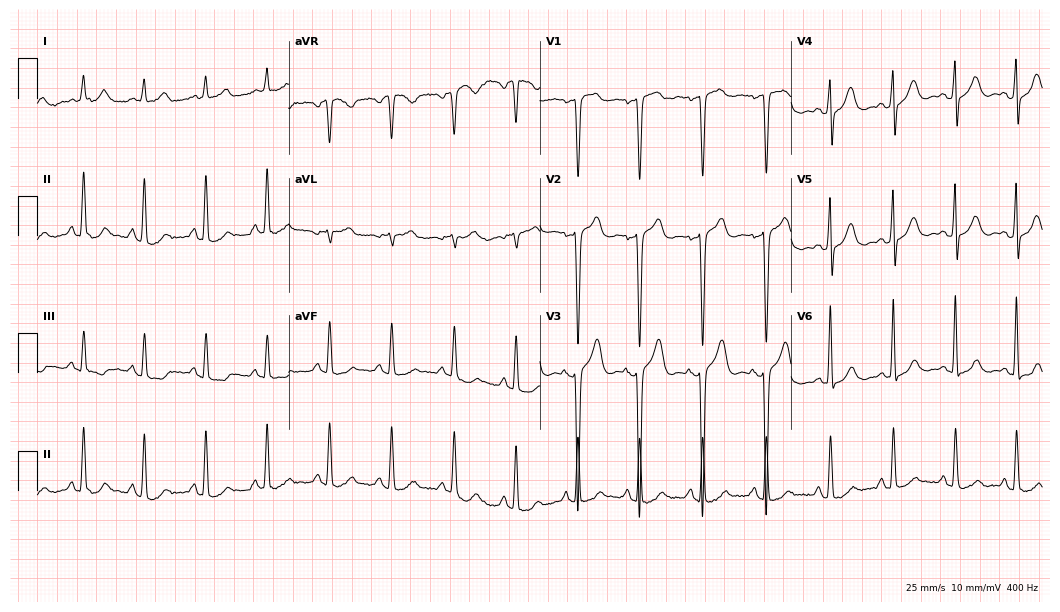
ECG (10.2-second recording at 400 Hz) — a man, 70 years old. Labelled as a normal ECG.